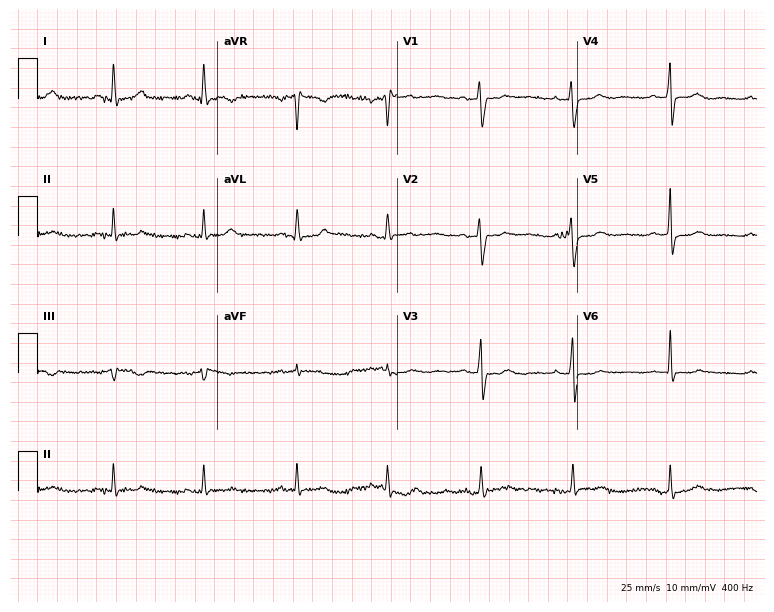
Standard 12-lead ECG recorded from a 48-year-old female patient (7.3-second recording at 400 Hz). None of these six findings is recorded: first-degree AV block, right bundle branch block, left bundle branch block, sinus bradycardia, atrial fibrillation, sinus tachycardia. Only these six findings were labelled.